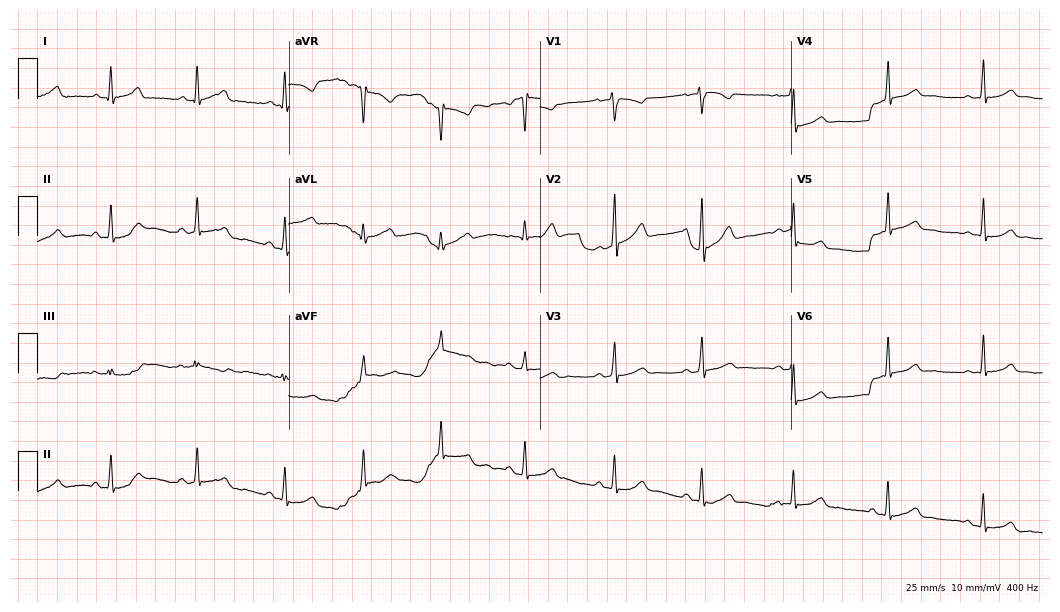
Resting 12-lead electrocardiogram. Patient: a woman, 24 years old. Read as a normal ECG.